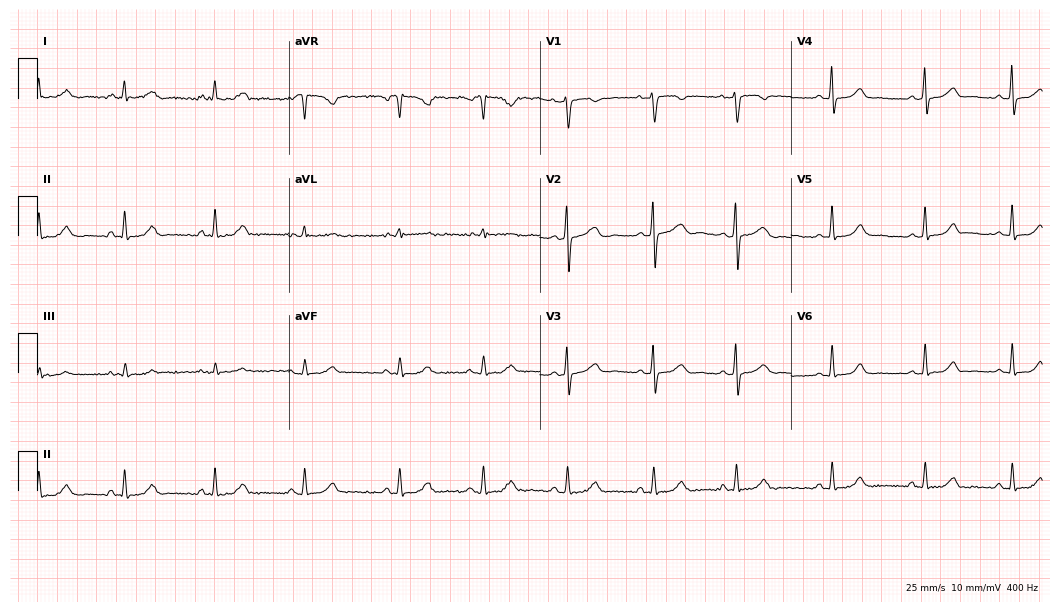
12-lead ECG from a 27-year-old female patient. Screened for six findings — first-degree AV block, right bundle branch block, left bundle branch block, sinus bradycardia, atrial fibrillation, sinus tachycardia — none is recorded. Other findings, if any, are not listed.